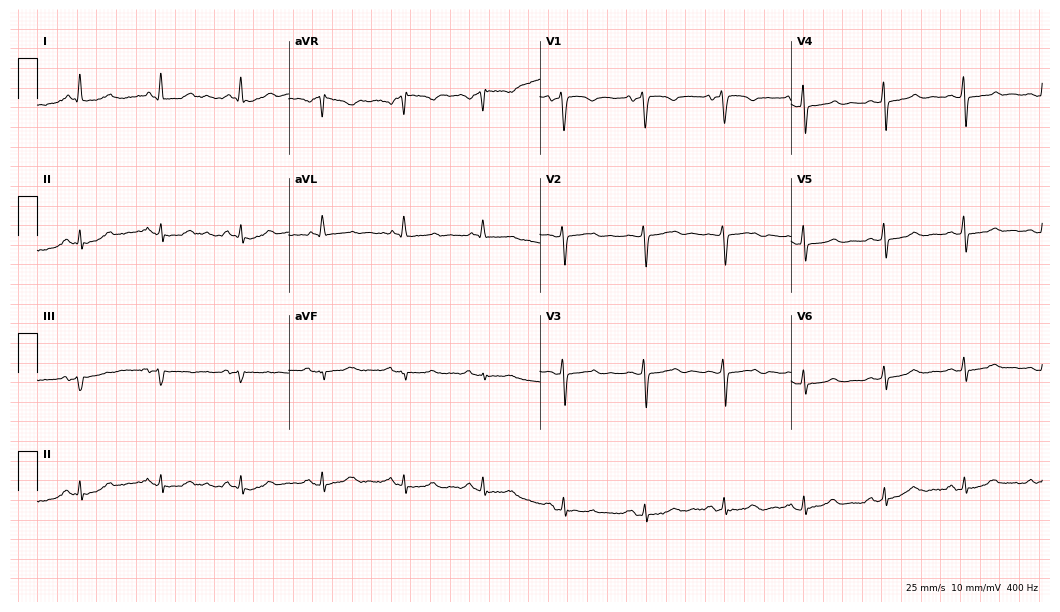
Resting 12-lead electrocardiogram (10.2-second recording at 400 Hz). Patient: a 63-year-old woman. None of these six findings is recorded: first-degree AV block, right bundle branch block, left bundle branch block, sinus bradycardia, atrial fibrillation, sinus tachycardia. Other findings, if any, are not listed.